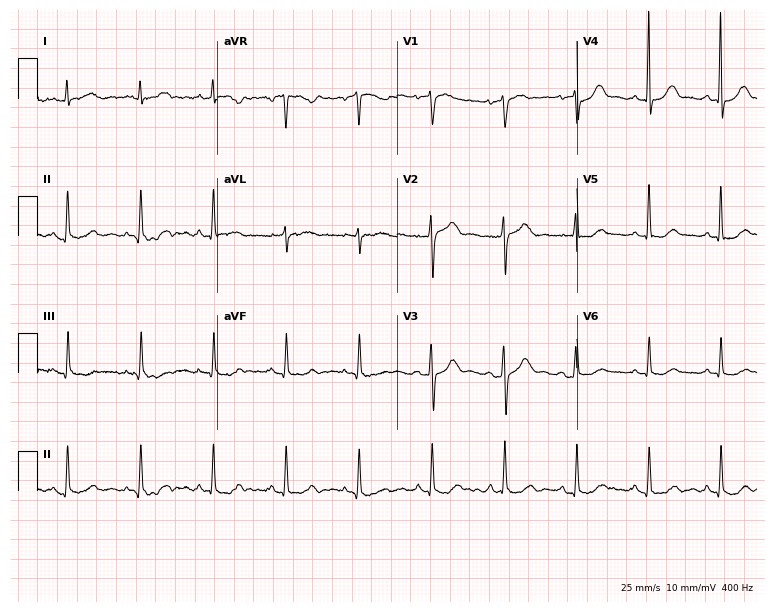
Electrocardiogram (7.3-second recording at 400 Hz), a man, 71 years old. Overall reading on record: normal ECG.